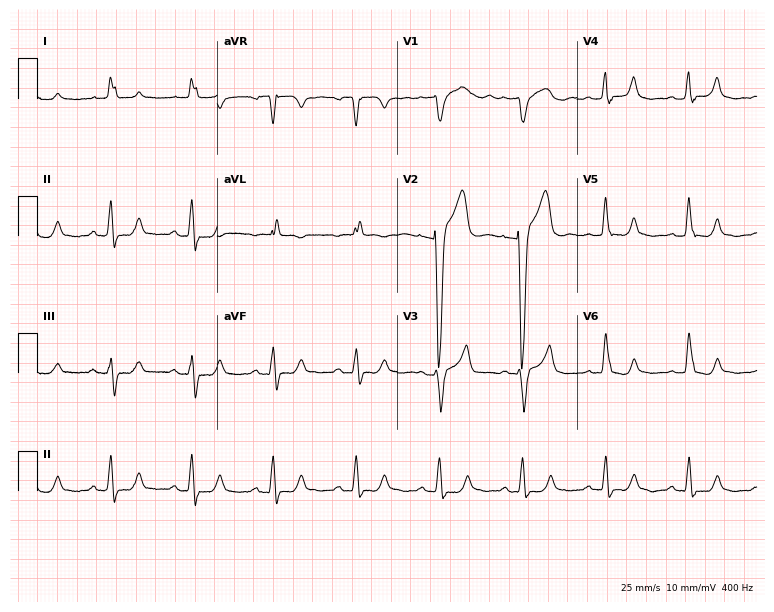
Electrocardiogram (7.3-second recording at 400 Hz), a woman, 79 years old. Interpretation includes left bundle branch block.